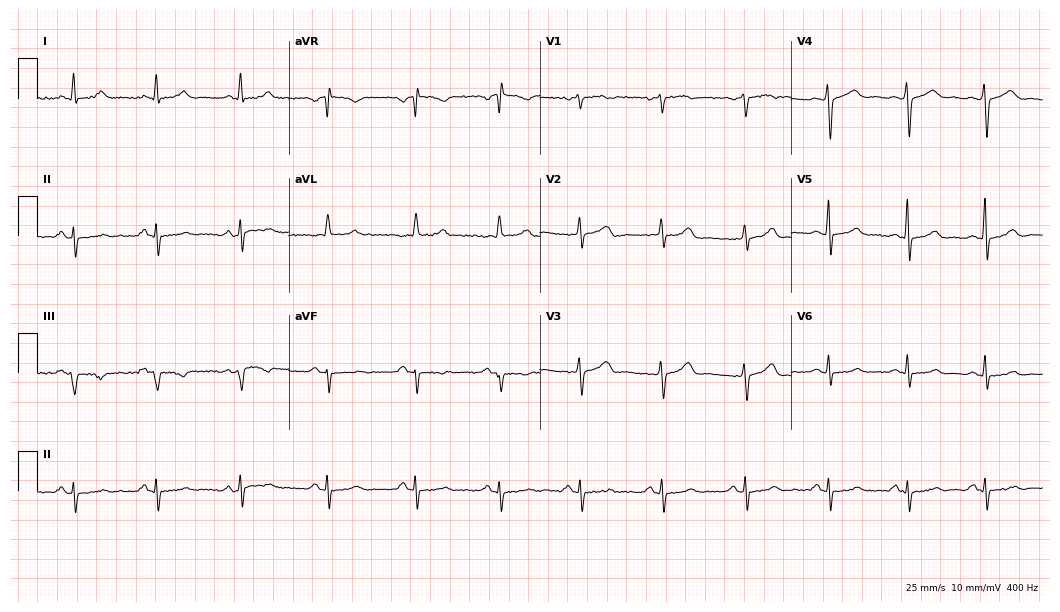
12-lead ECG from a 59-year-old woman. Screened for six findings — first-degree AV block, right bundle branch block, left bundle branch block, sinus bradycardia, atrial fibrillation, sinus tachycardia — none is recorded.